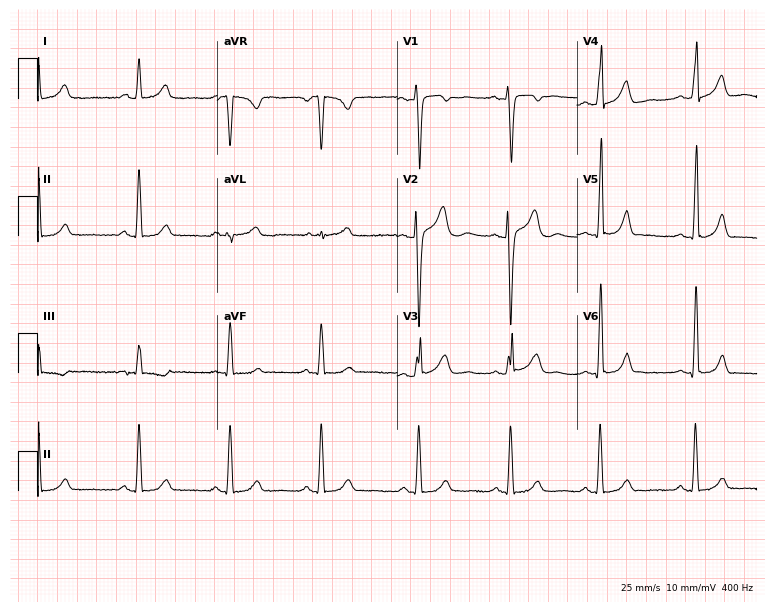
12-lead ECG from a female patient, 33 years old. Recorded interpretation: within normal limits.